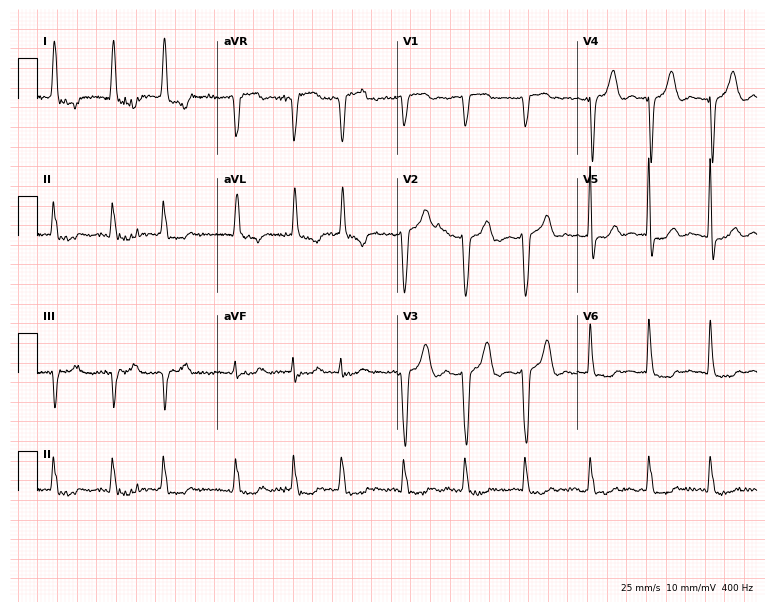
Standard 12-lead ECG recorded from a 76-year-old female patient (7.3-second recording at 400 Hz). The tracing shows atrial fibrillation (AF).